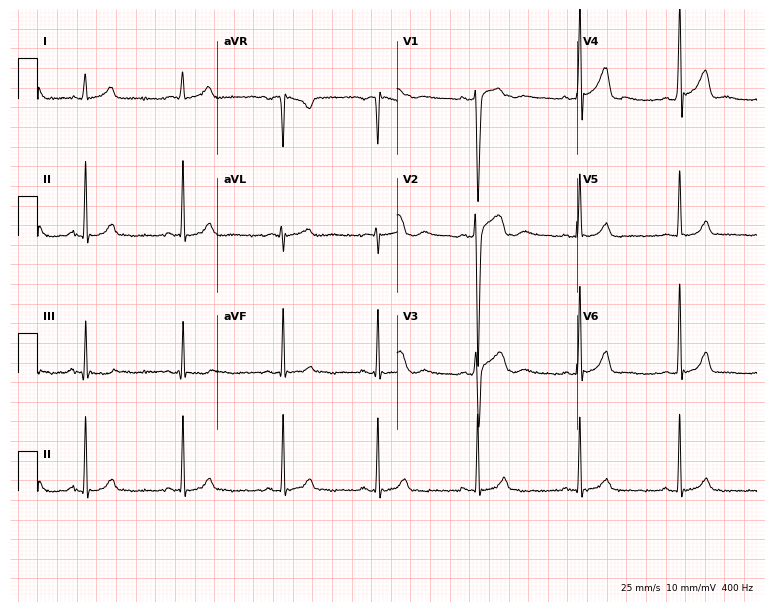
Electrocardiogram (7.3-second recording at 400 Hz), a male, 22 years old. Overall reading on record: normal ECG.